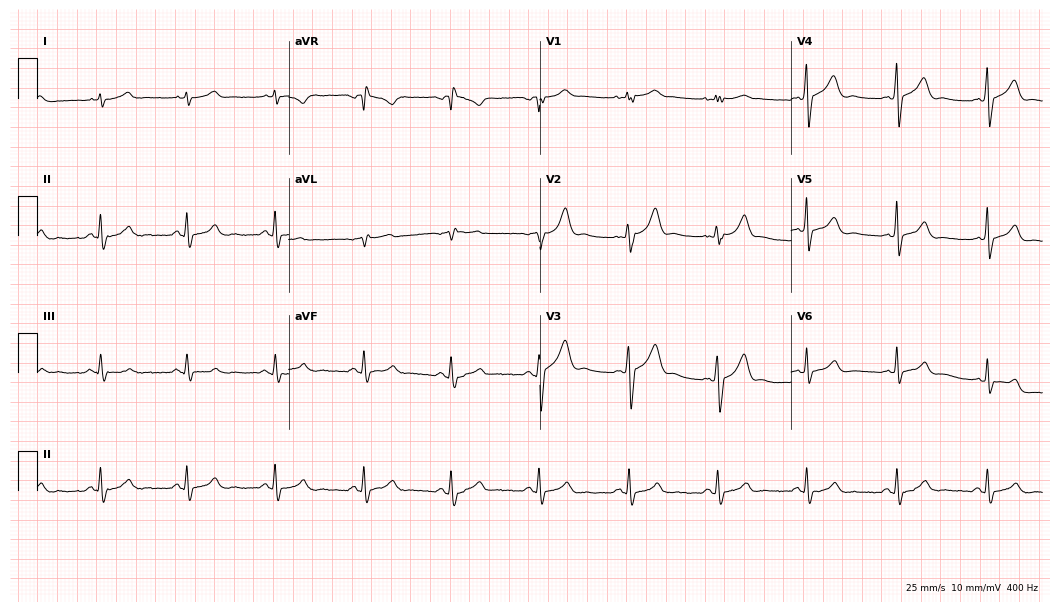
Resting 12-lead electrocardiogram (10.2-second recording at 400 Hz). Patient: a male, 34 years old. Read as a normal ECG.